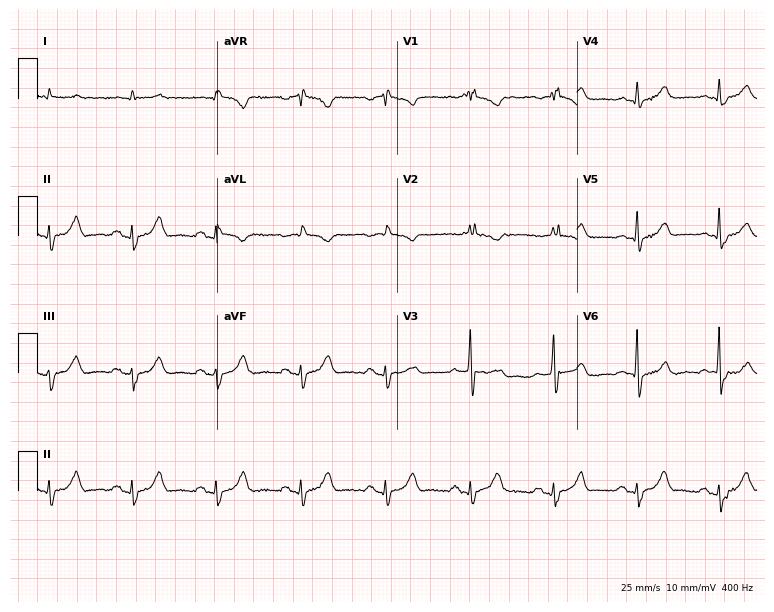
12-lead ECG from a female patient, 69 years old. Screened for six findings — first-degree AV block, right bundle branch block, left bundle branch block, sinus bradycardia, atrial fibrillation, sinus tachycardia — none is recorded.